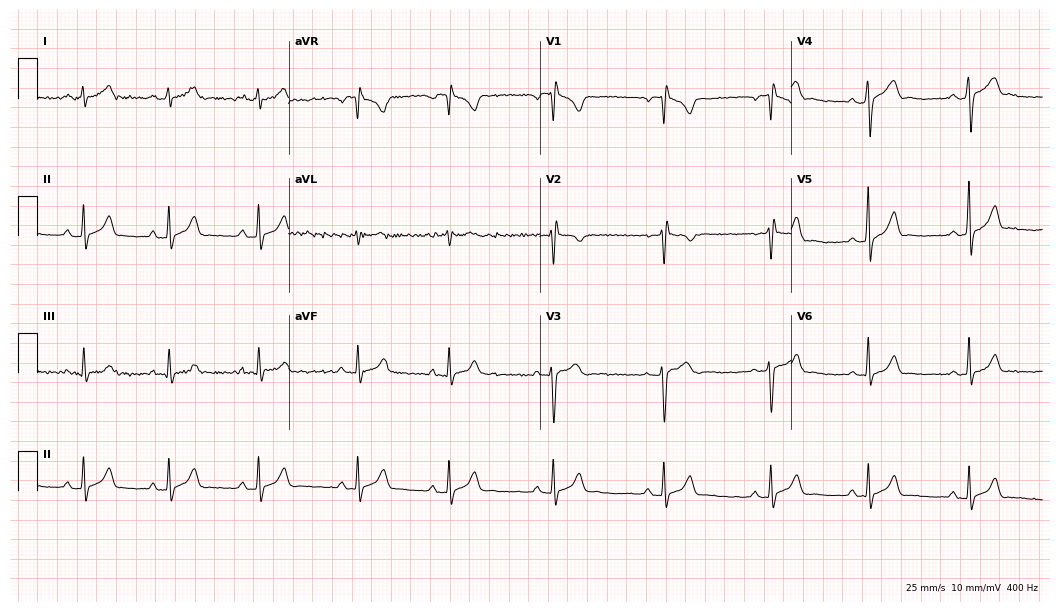
Resting 12-lead electrocardiogram (10.2-second recording at 400 Hz). Patient: an 18-year-old male. Read as a normal ECG.